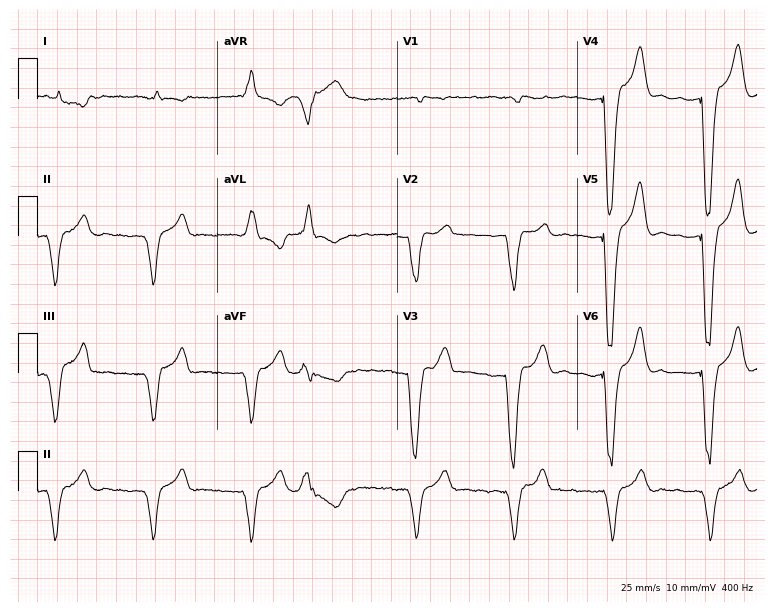
ECG (7.3-second recording at 400 Hz) — a 69-year-old male patient. Screened for six findings — first-degree AV block, right bundle branch block (RBBB), left bundle branch block (LBBB), sinus bradycardia, atrial fibrillation (AF), sinus tachycardia — none is recorded.